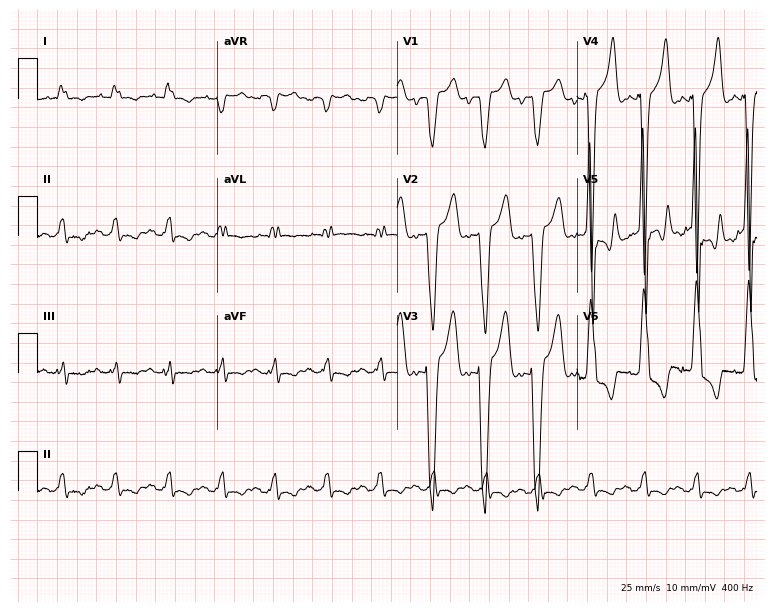
12-lead ECG from a male patient, 63 years old (7.3-second recording at 400 Hz). Shows left bundle branch block, sinus tachycardia (a sinus rate of 100 beats per minute or more).